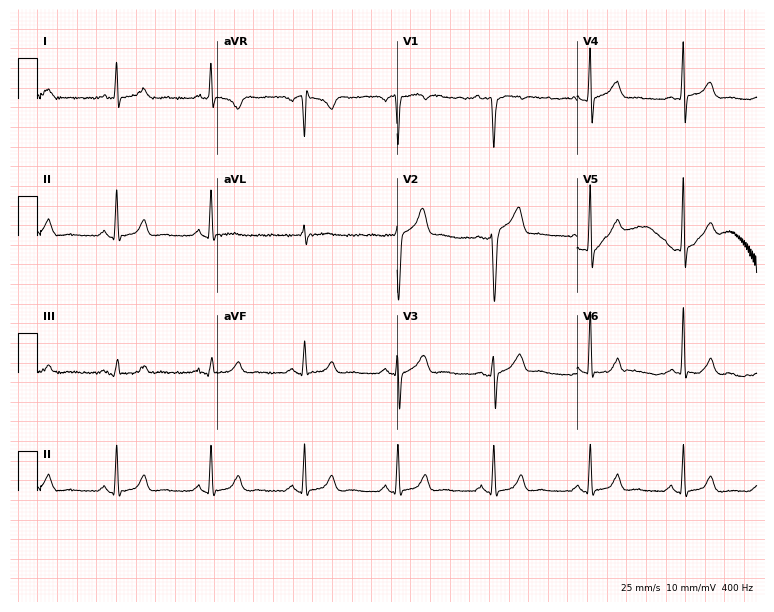
Electrocardiogram (7.3-second recording at 400 Hz), a 40-year-old male patient. Overall reading on record: normal ECG.